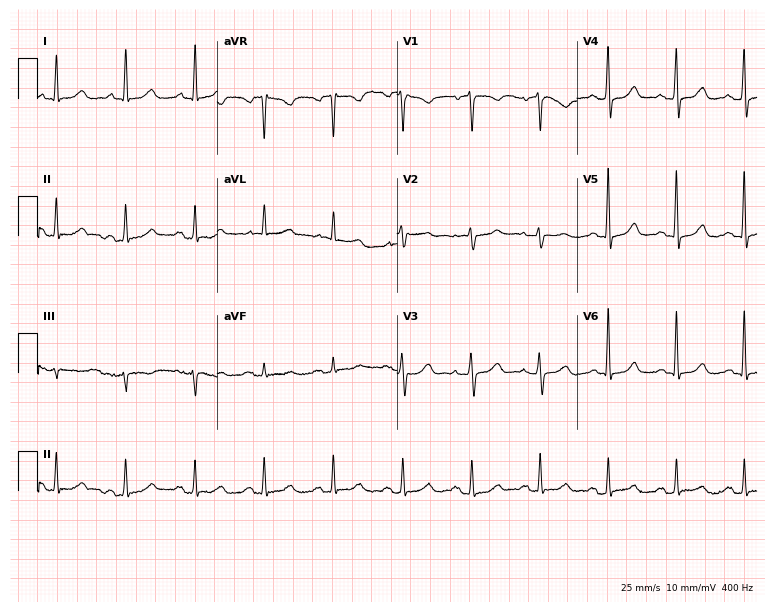
Electrocardiogram, a woman, 66 years old. Overall reading on record: normal ECG.